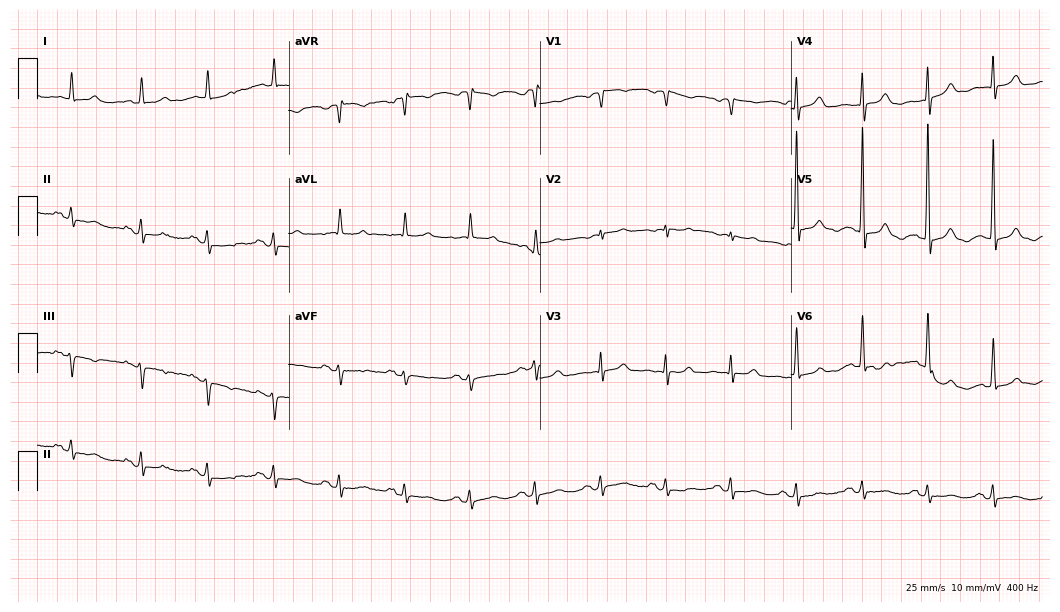
12-lead ECG from an 89-year-old female (10.2-second recording at 400 Hz). No first-degree AV block, right bundle branch block (RBBB), left bundle branch block (LBBB), sinus bradycardia, atrial fibrillation (AF) or sinus tachycardia recorded for this tracing. Only these six findings were labelled.